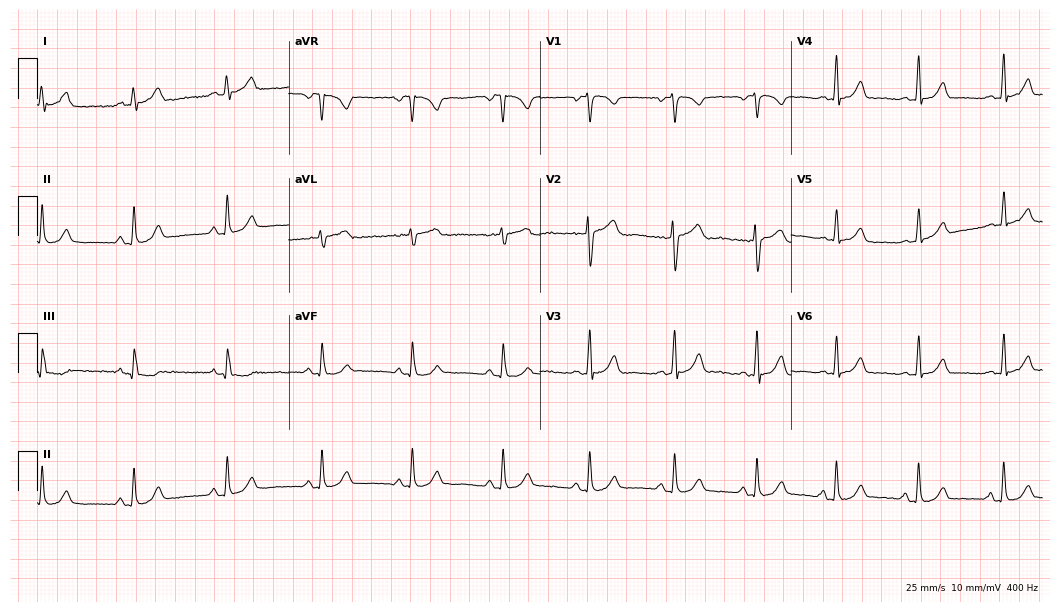
12-lead ECG from a 37-year-old female patient (10.2-second recording at 400 Hz). Recorded interpretation: within normal limits.